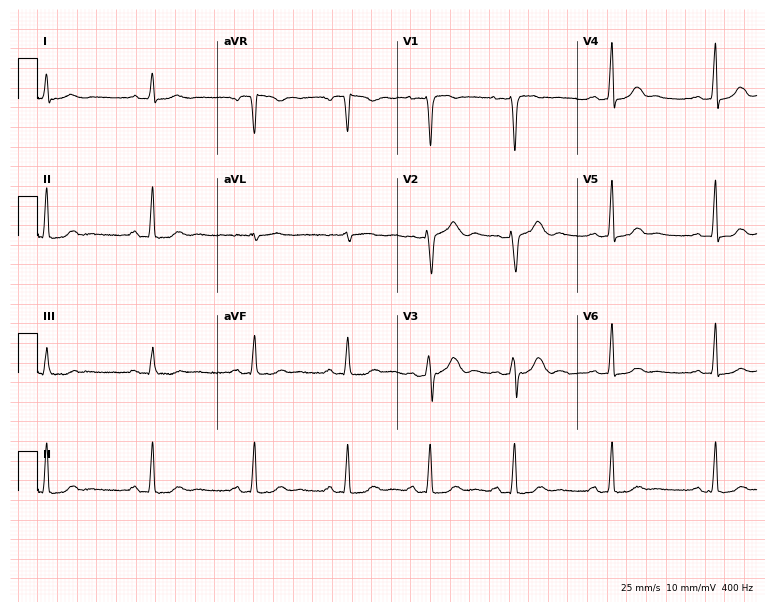
Resting 12-lead electrocardiogram (7.3-second recording at 400 Hz). Patient: a woman, 28 years old. Read as a normal ECG.